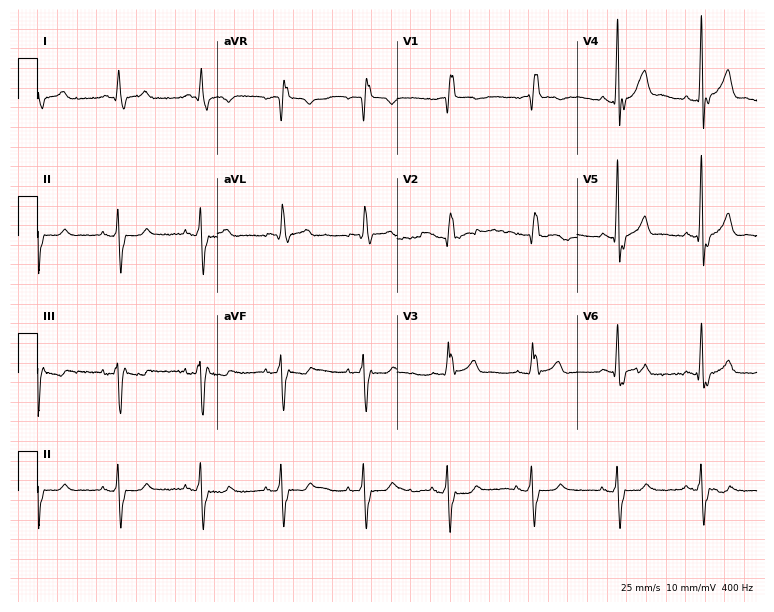
ECG — a woman, 83 years old. Findings include right bundle branch block.